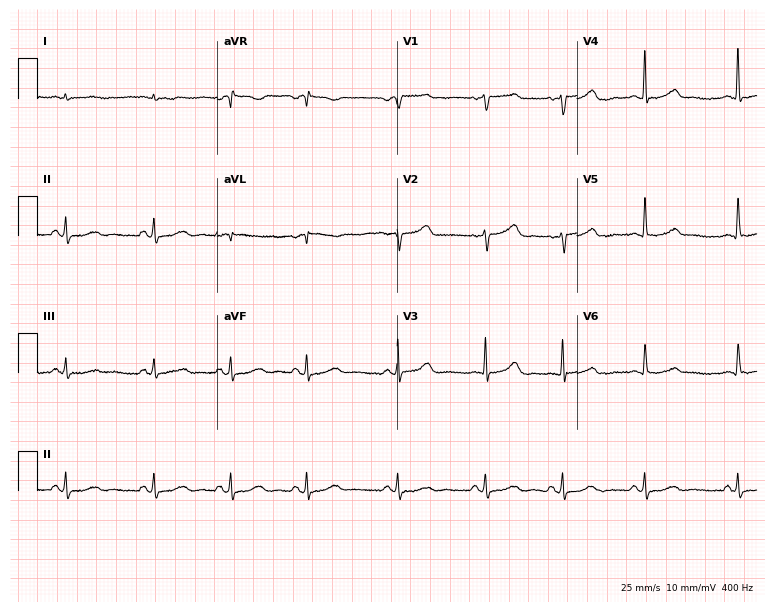
12-lead ECG from a 79-year-old woman. Screened for six findings — first-degree AV block, right bundle branch block (RBBB), left bundle branch block (LBBB), sinus bradycardia, atrial fibrillation (AF), sinus tachycardia — none is recorded. Only these six findings were labelled.